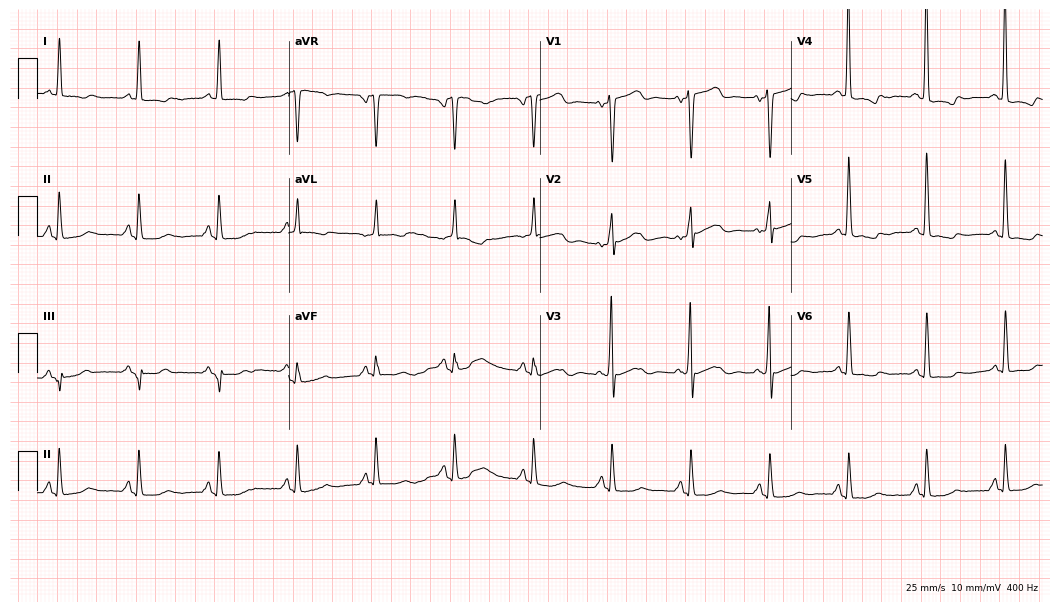
12-lead ECG from a woman, 80 years old. Screened for six findings — first-degree AV block, right bundle branch block, left bundle branch block, sinus bradycardia, atrial fibrillation, sinus tachycardia — none is recorded. Findings outside these six are not listed.